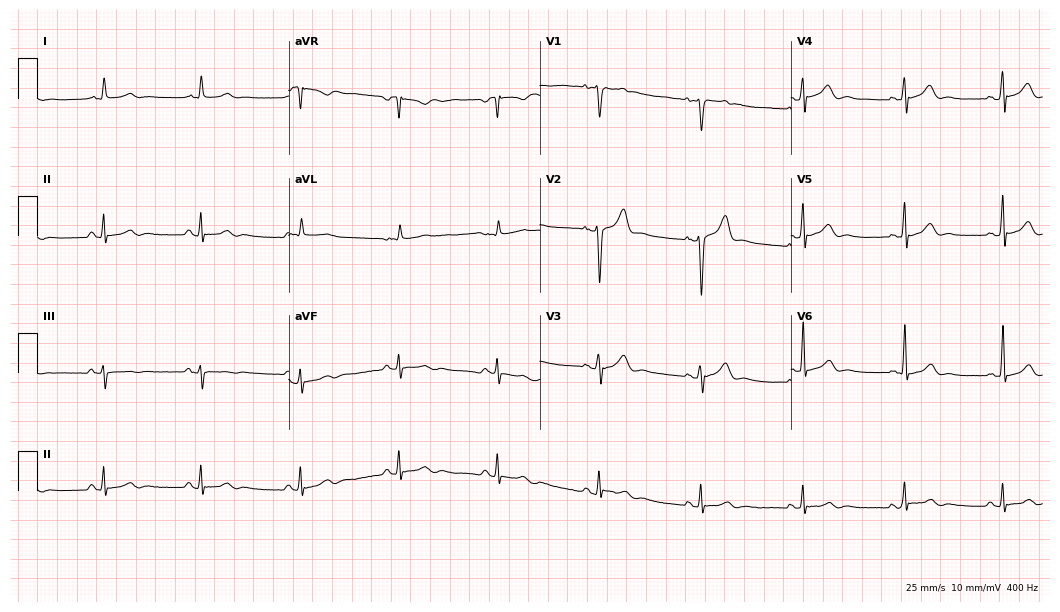
12-lead ECG from a 42-year-old man. Recorded interpretation: within normal limits.